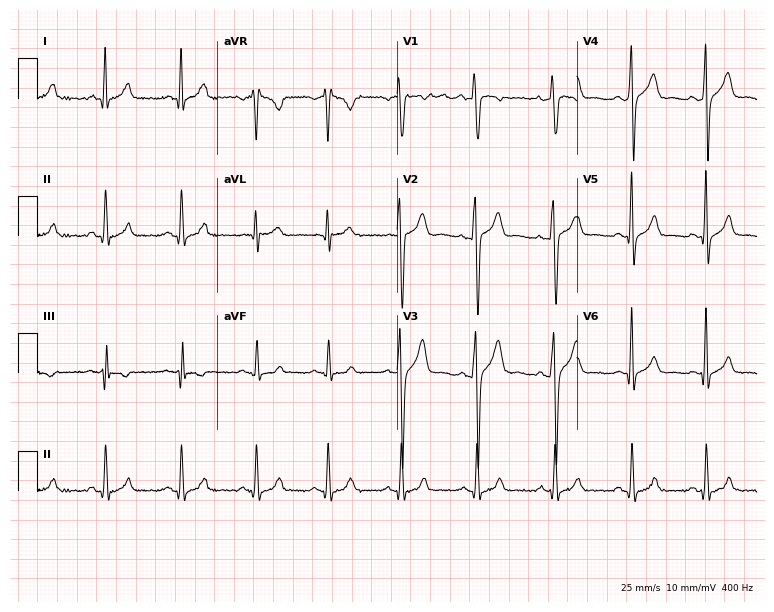
12-lead ECG (7.3-second recording at 400 Hz) from a 30-year-old male patient. Labelled as a normal ECG.